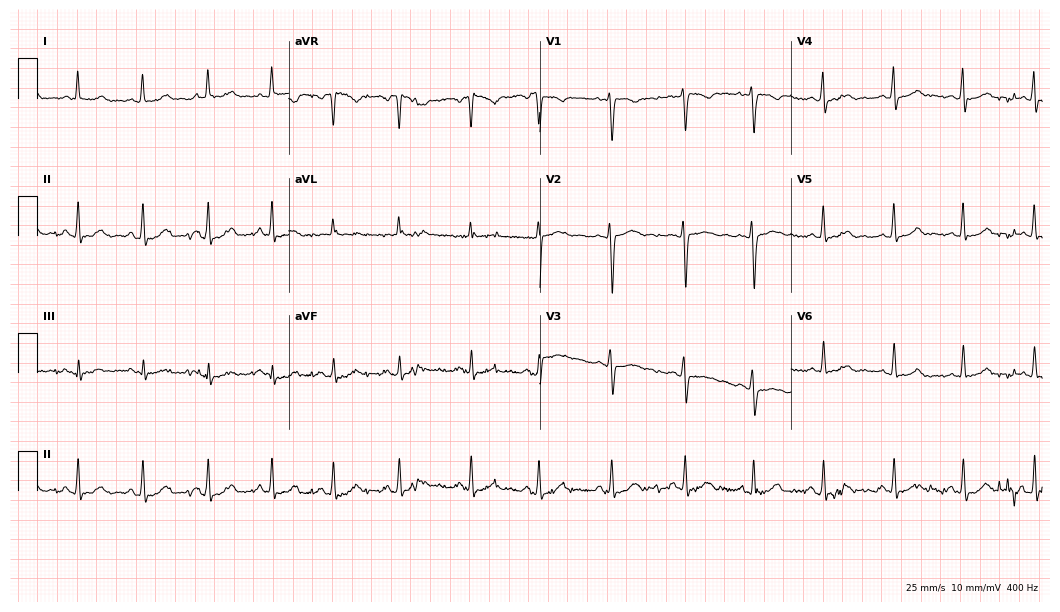
Electrocardiogram, a female patient, 19 years old. Overall reading on record: normal ECG.